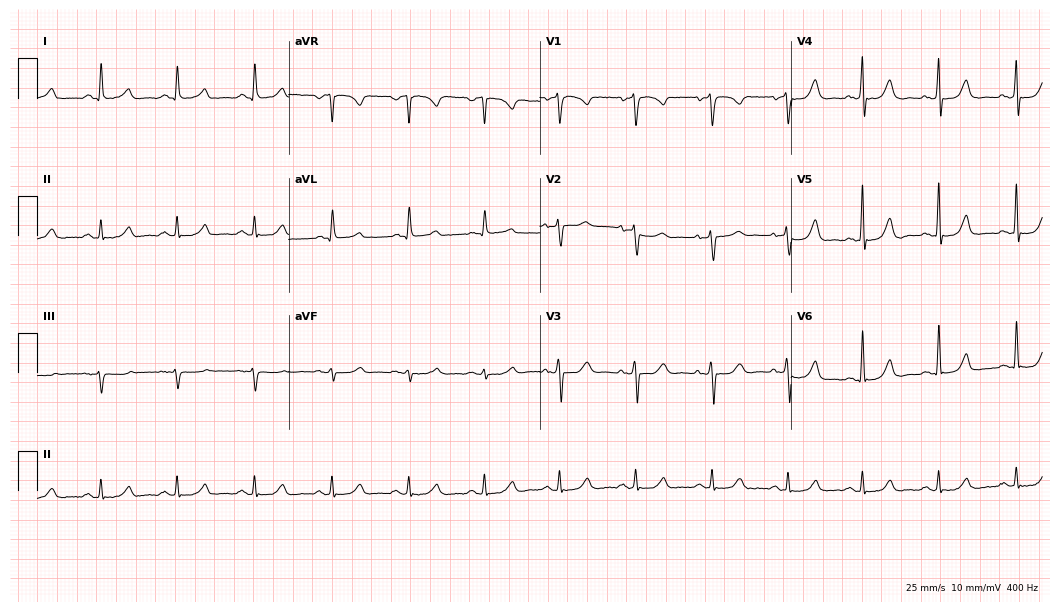
12-lead ECG from a 56-year-old female patient. Recorded interpretation: within normal limits.